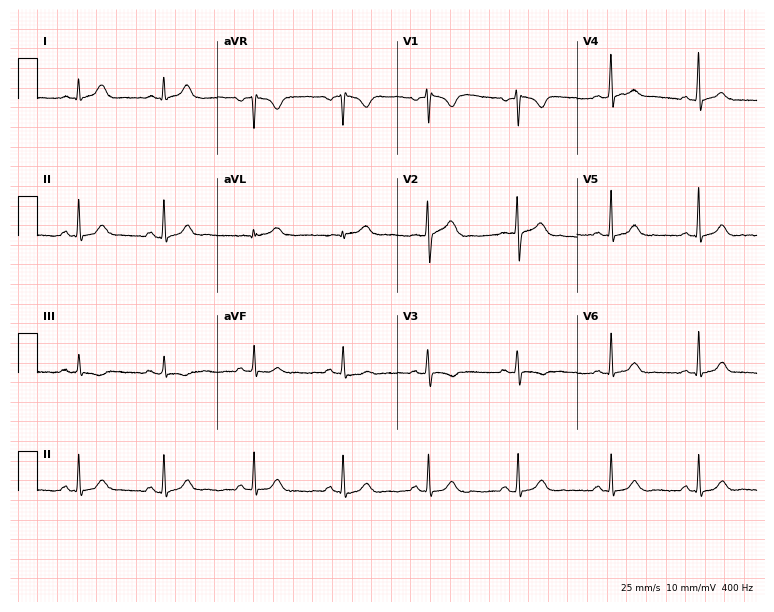
12-lead ECG from a 22-year-old female (7.3-second recording at 400 Hz). Recorded interpretation: within normal limits.